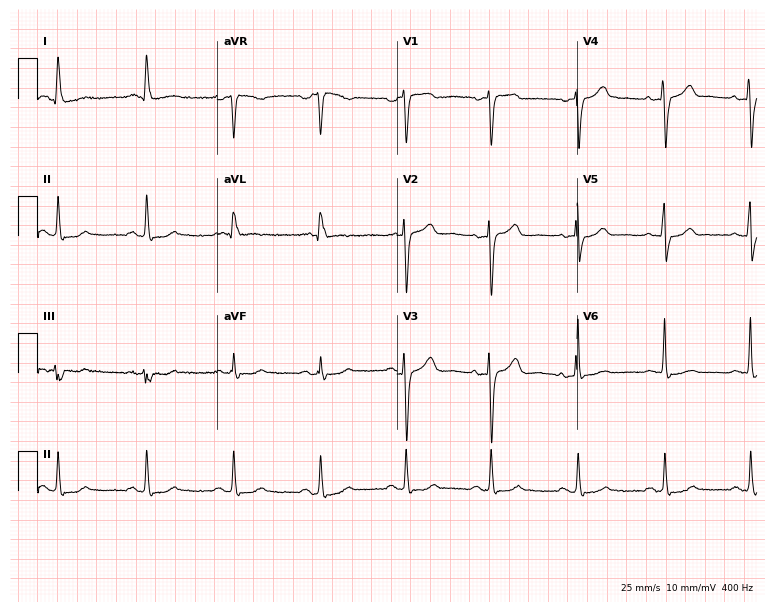
Electrocardiogram (7.3-second recording at 400 Hz), a 46-year-old woman. Overall reading on record: normal ECG.